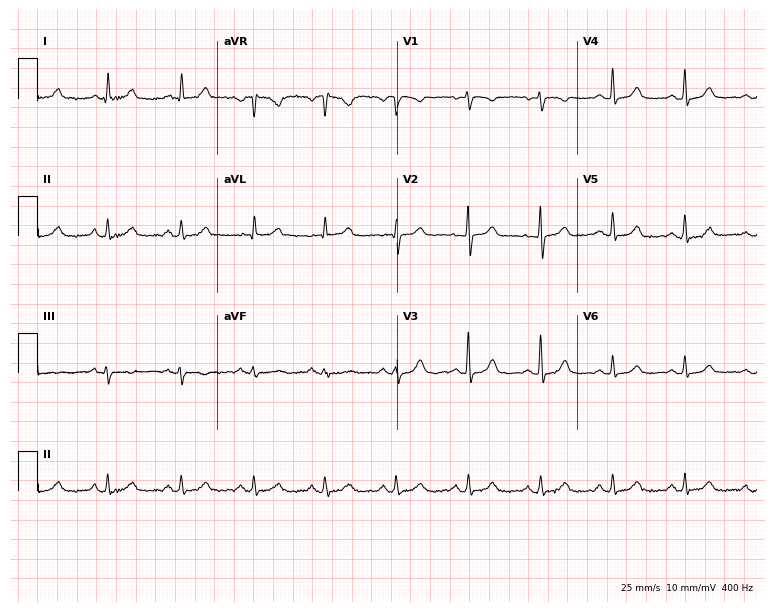
Electrocardiogram (7.3-second recording at 400 Hz), a woman, 68 years old. Overall reading on record: normal ECG.